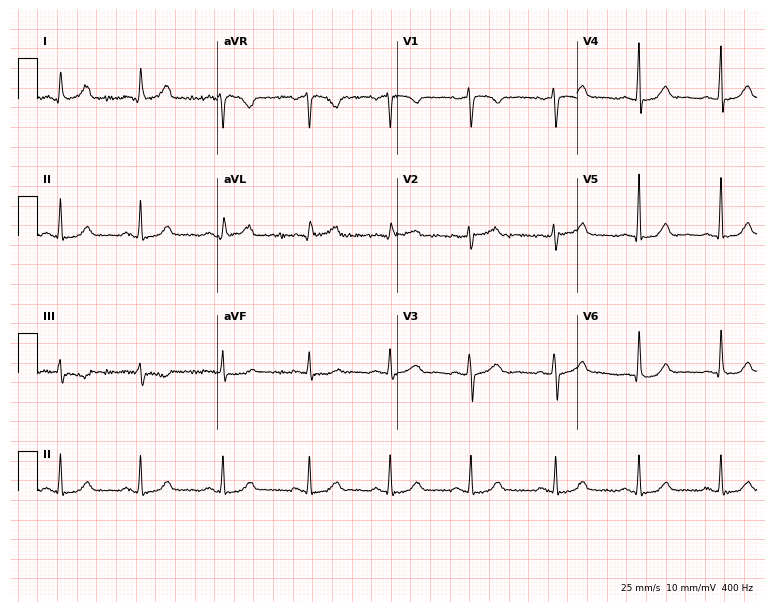
12-lead ECG from a 37-year-old woman. Recorded interpretation: within normal limits.